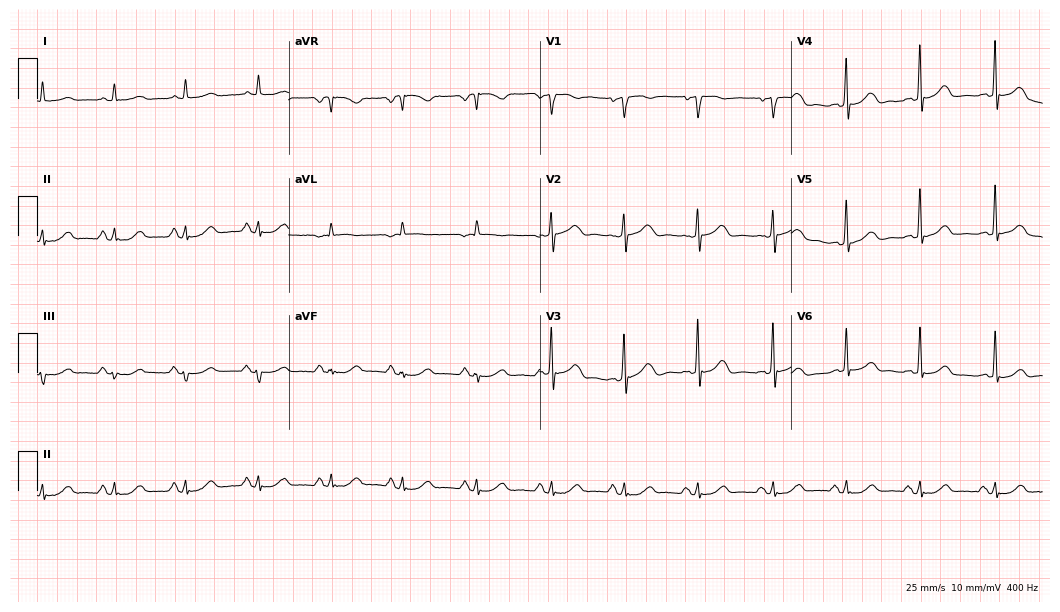
Resting 12-lead electrocardiogram. Patient: a female, 83 years old. Read as a normal ECG.